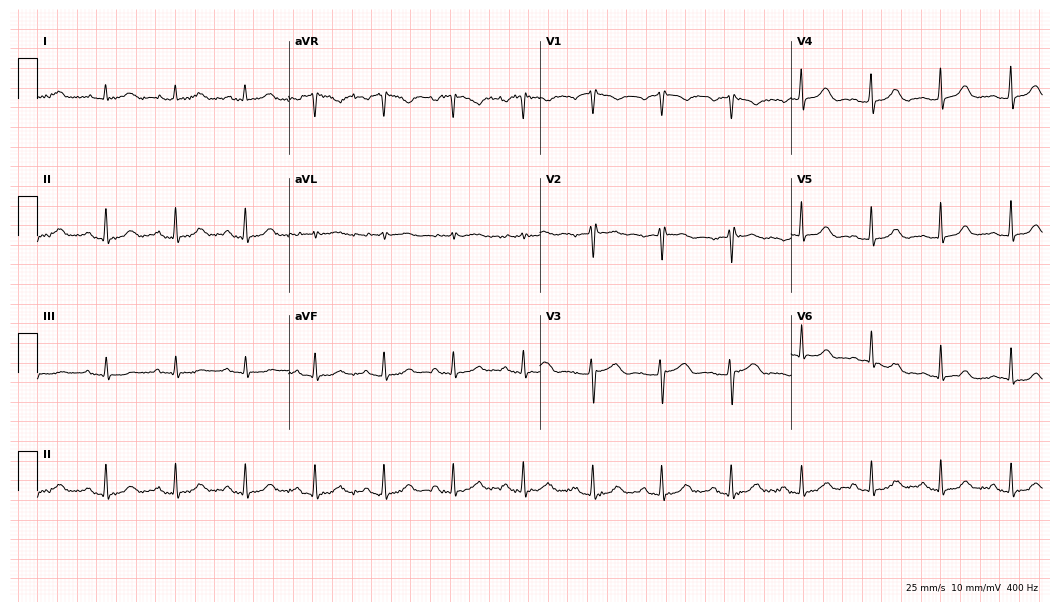
12-lead ECG from a female patient, 55 years old (10.2-second recording at 400 Hz). Recorded interpretation: within normal limits.